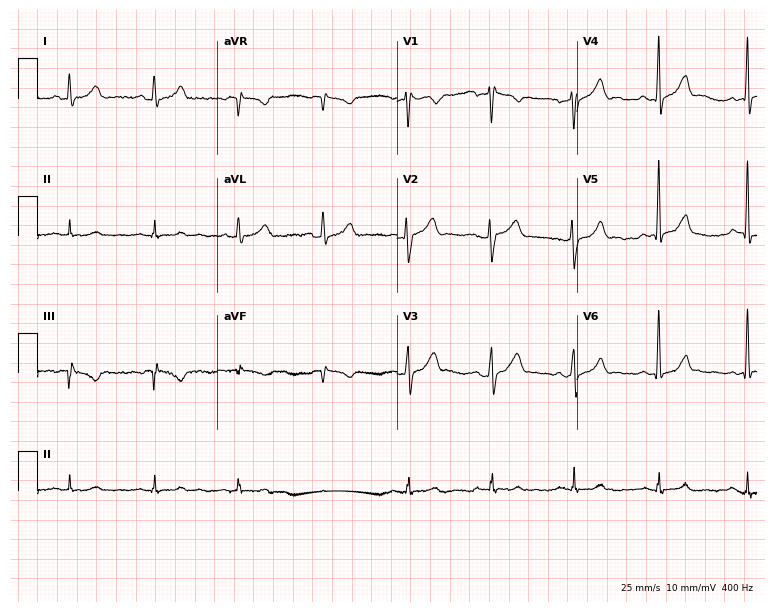
Standard 12-lead ECG recorded from a 36-year-old male (7.3-second recording at 400 Hz). Read as a normal ECG.